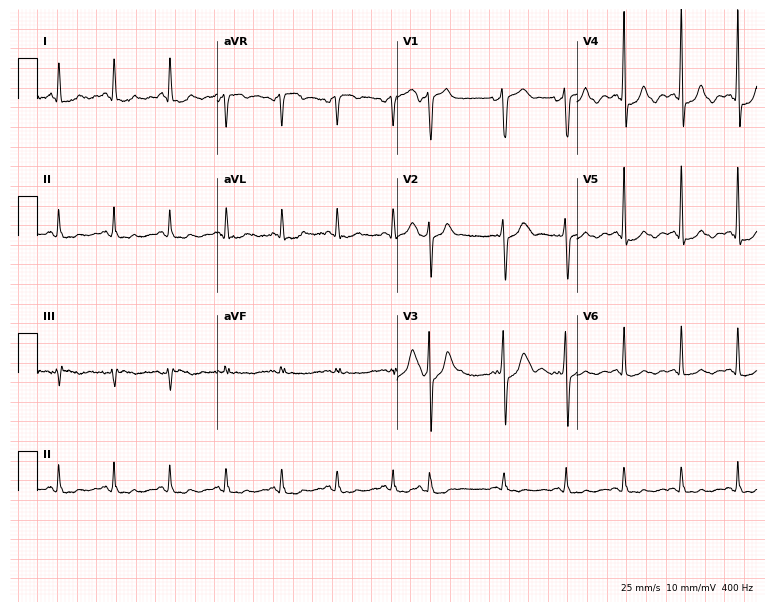
Electrocardiogram (7.3-second recording at 400 Hz), a 74-year-old female patient. Interpretation includes sinus tachycardia (a sinus rate of 100 beats per minute or more).